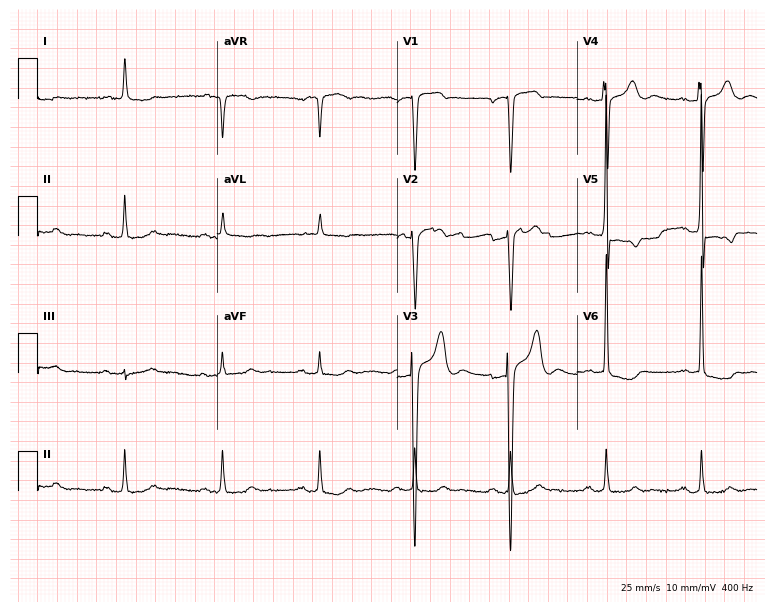
Electrocardiogram (7.3-second recording at 400 Hz), a male, 77 years old. Of the six screened findings (first-degree AV block, right bundle branch block, left bundle branch block, sinus bradycardia, atrial fibrillation, sinus tachycardia), none is recorded.